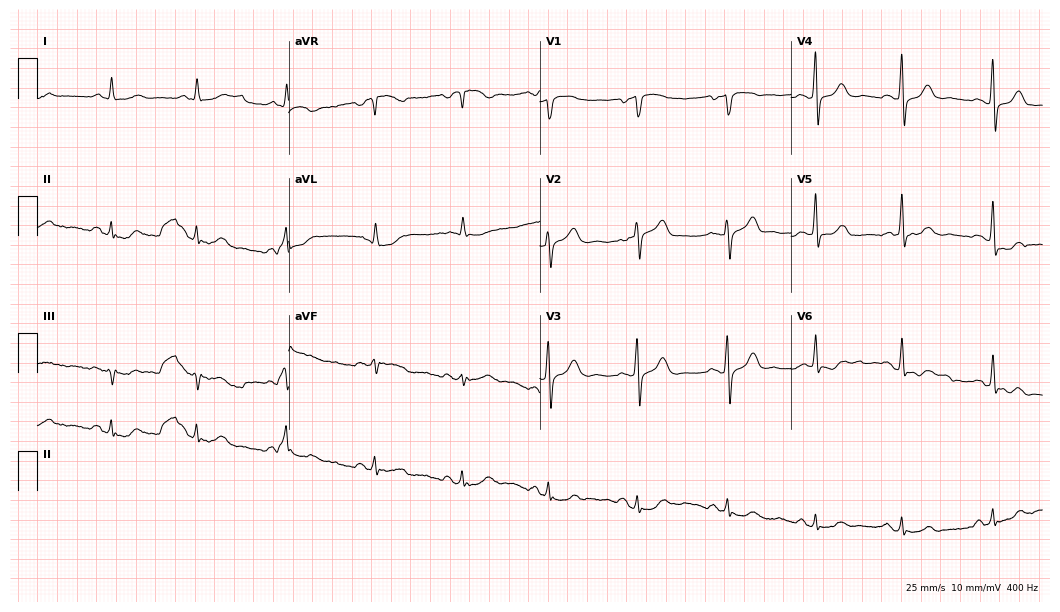
Resting 12-lead electrocardiogram (10.2-second recording at 400 Hz). Patient: a male, 74 years old. Read as a normal ECG.